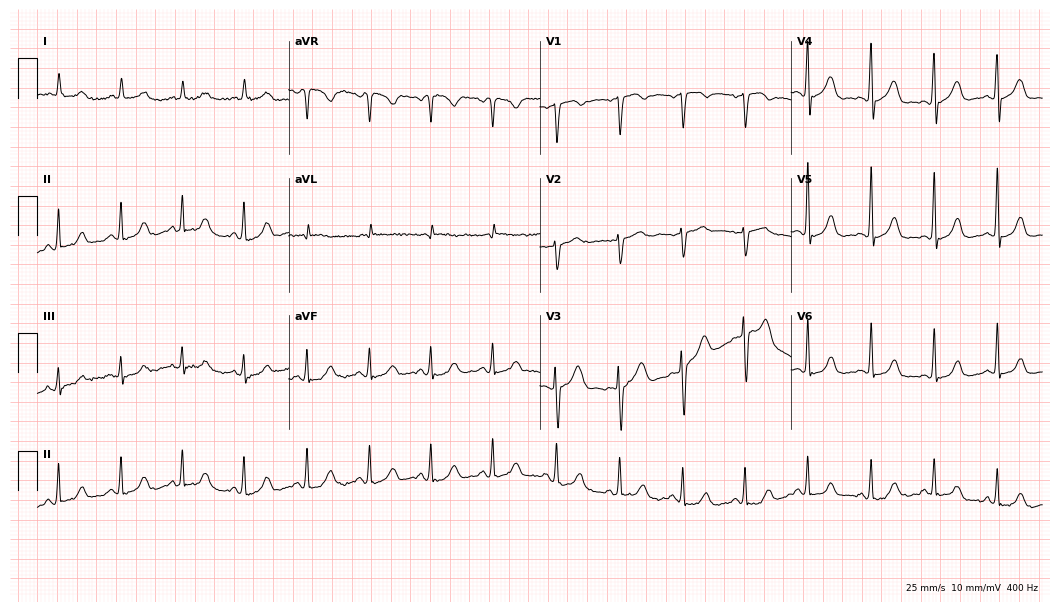
ECG — a 75-year-old female patient. Labelled as a normal ECG.